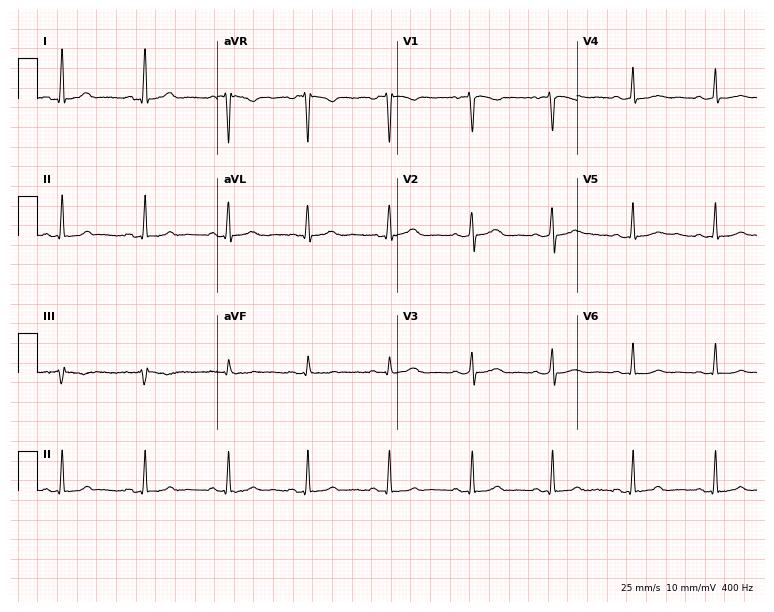
Resting 12-lead electrocardiogram (7.3-second recording at 400 Hz). Patient: a 41-year-old woman. Read as a normal ECG.